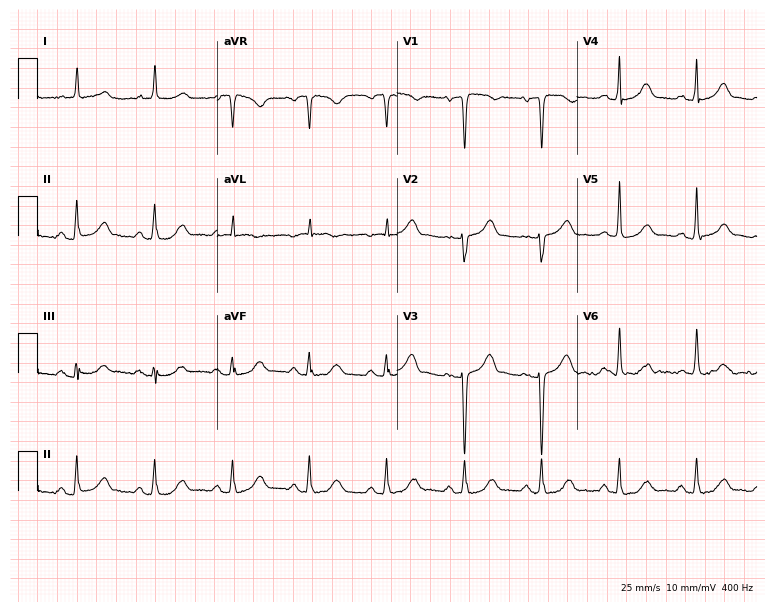
Standard 12-lead ECG recorded from a woman, 82 years old. None of these six findings is recorded: first-degree AV block, right bundle branch block (RBBB), left bundle branch block (LBBB), sinus bradycardia, atrial fibrillation (AF), sinus tachycardia.